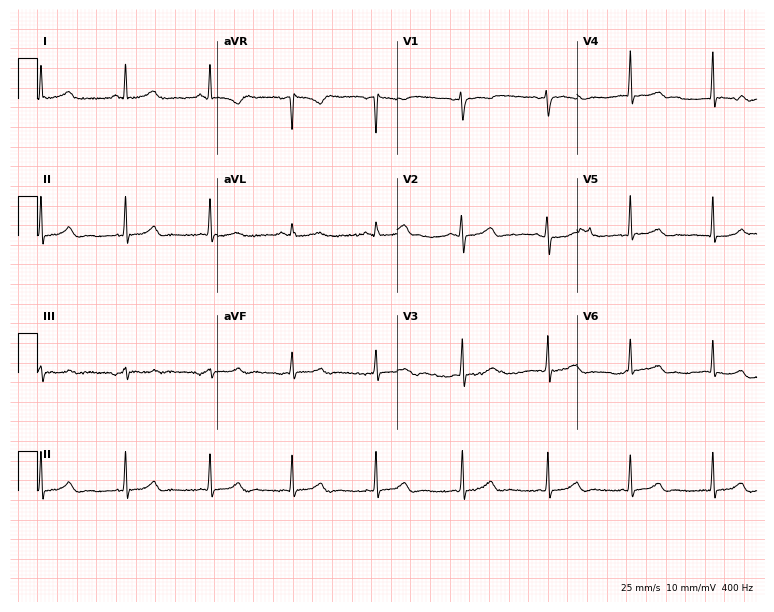
Standard 12-lead ECG recorded from a 35-year-old female patient. Read as a normal ECG.